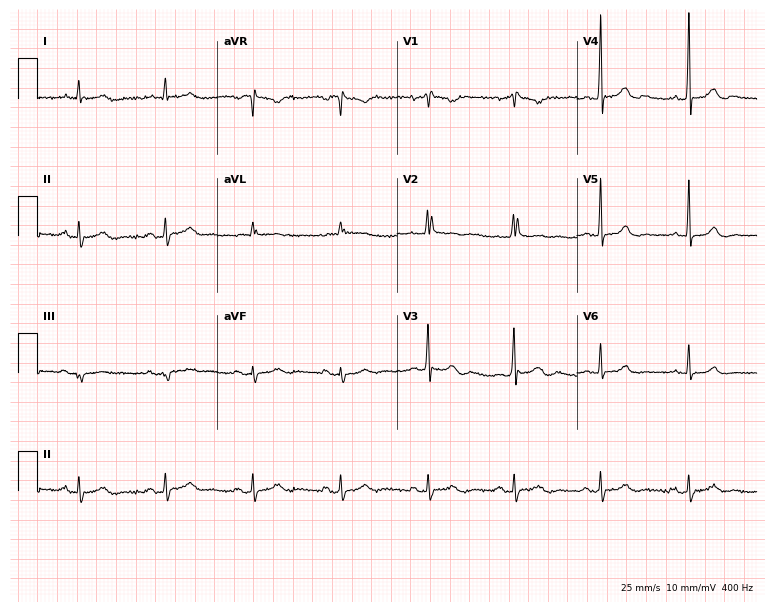
12-lead ECG from a 40-year-old male. Screened for six findings — first-degree AV block, right bundle branch block (RBBB), left bundle branch block (LBBB), sinus bradycardia, atrial fibrillation (AF), sinus tachycardia — none is recorded.